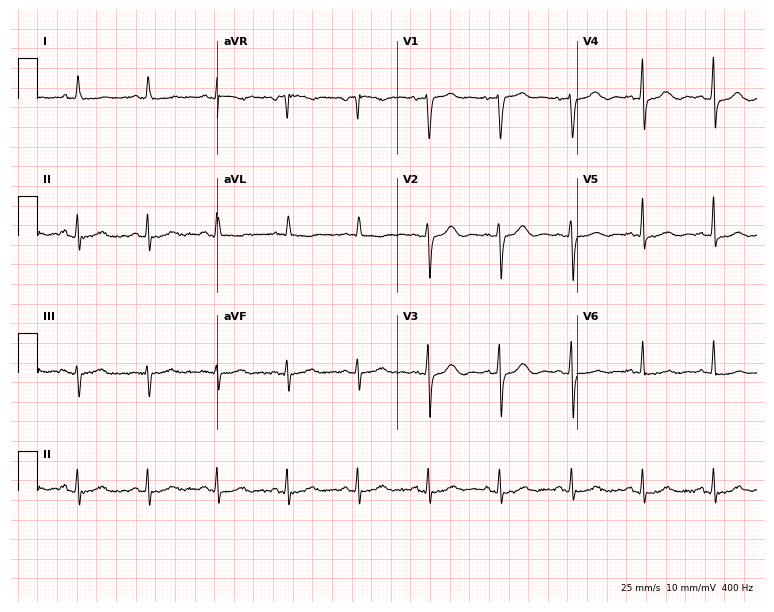
Electrocardiogram, a female patient, 71 years old. Of the six screened findings (first-degree AV block, right bundle branch block, left bundle branch block, sinus bradycardia, atrial fibrillation, sinus tachycardia), none is recorded.